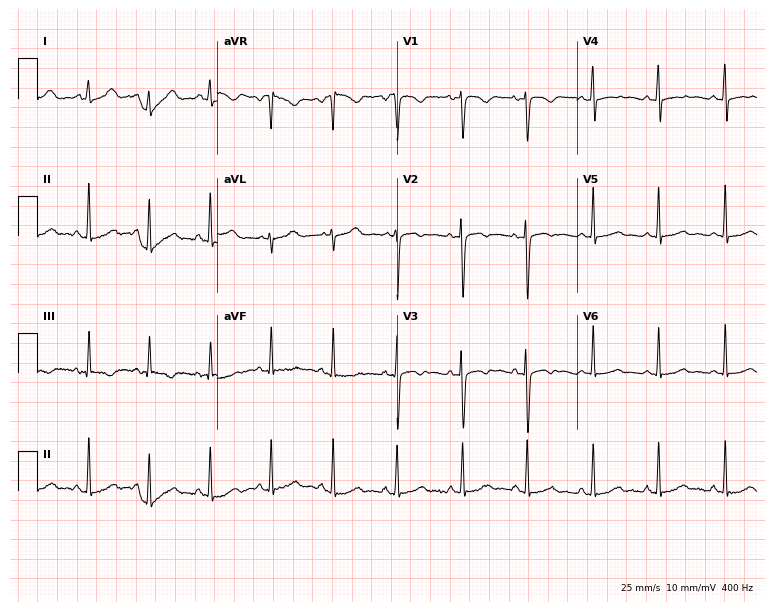
12-lead ECG from a 28-year-old female patient (7.3-second recording at 400 Hz). Recorded interpretation: within normal limits.